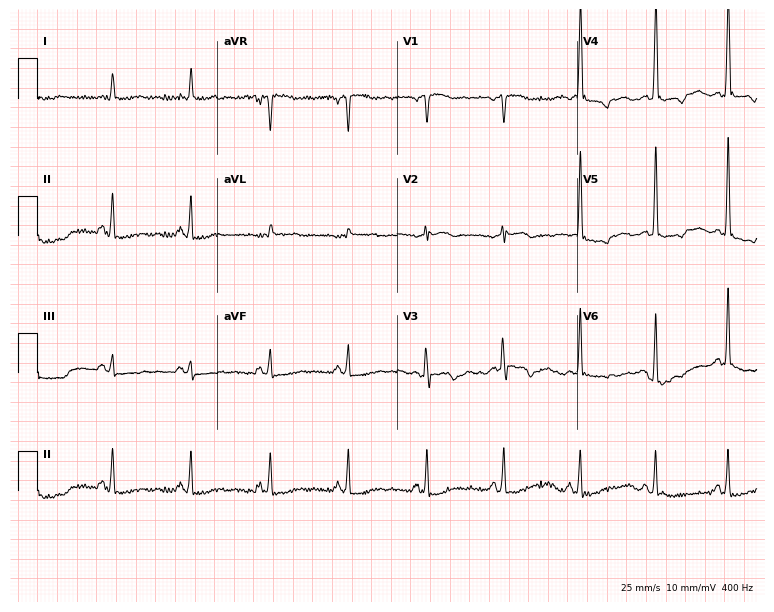
ECG (7.3-second recording at 400 Hz) — a woman, 54 years old. Screened for six findings — first-degree AV block, right bundle branch block (RBBB), left bundle branch block (LBBB), sinus bradycardia, atrial fibrillation (AF), sinus tachycardia — none is recorded.